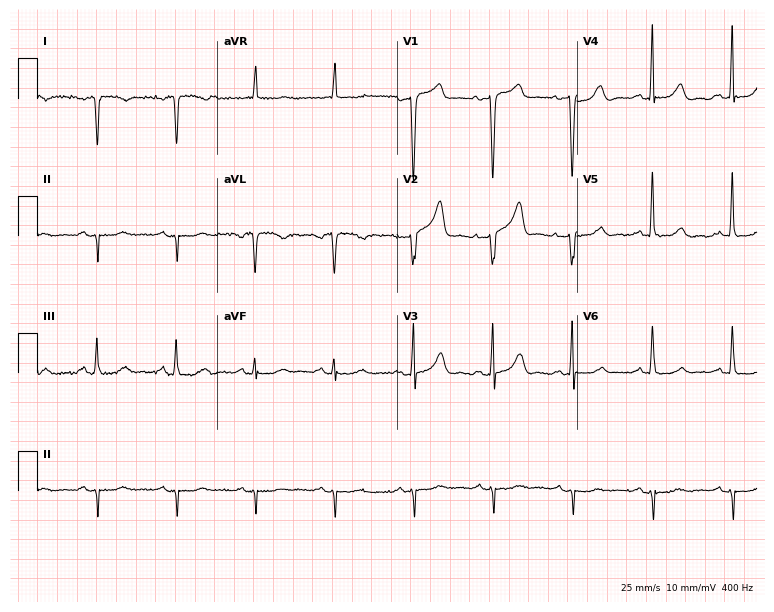
12-lead ECG from a female, 79 years old. No first-degree AV block, right bundle branch block, left bundle branch block, sinus bradycardia, atrial fibrillation or sinus tachycardia recorded for this tracing. Findings outside these six are not listed.